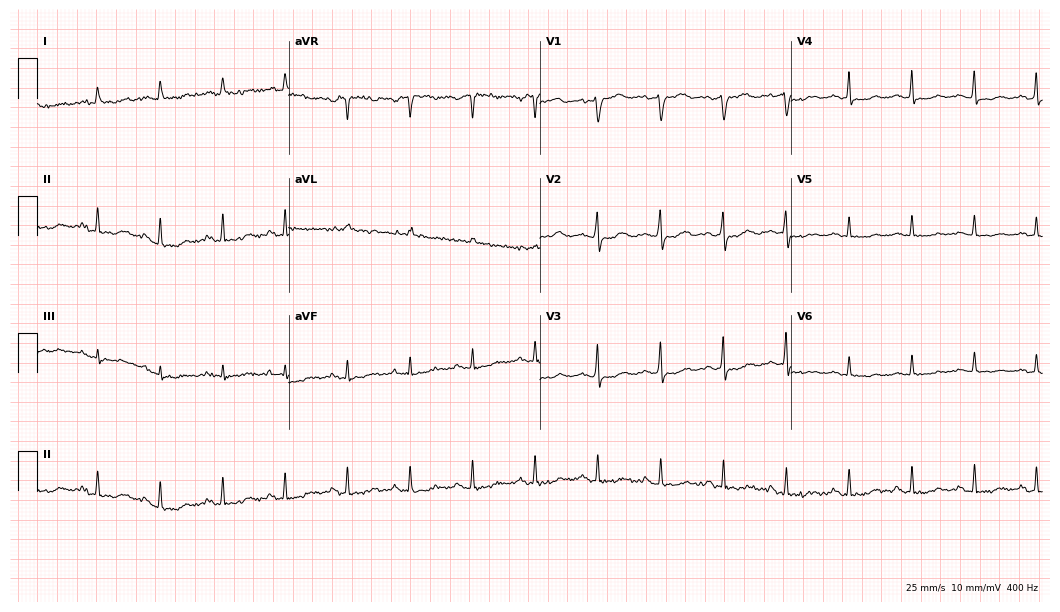
12-lead ECG (10.2-second recording at 400 Hz) from a 57-year-old female patient. Screened for six findings — first-degree AV block, right bundle branch block (RBBB), left bundle branch block (LBBB), sinus bradycardia, atrial fibrillation (AF), sinus tachycardia — none is recorded. Findings outside these six are not listed.